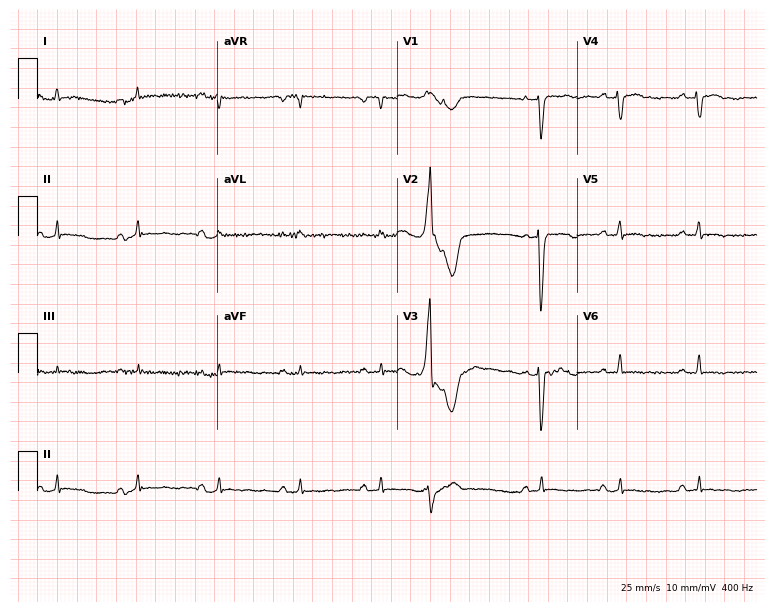
12-lead ECG from a 64-year-old male. No first-degree AV block, right bundle branch block (RBBB), left bundle branch block (LBBB), sinus bradycardia, atrial fibrillation (AF) or sinus tachycardia recorded for this tracing. Only these six findings were labelled.